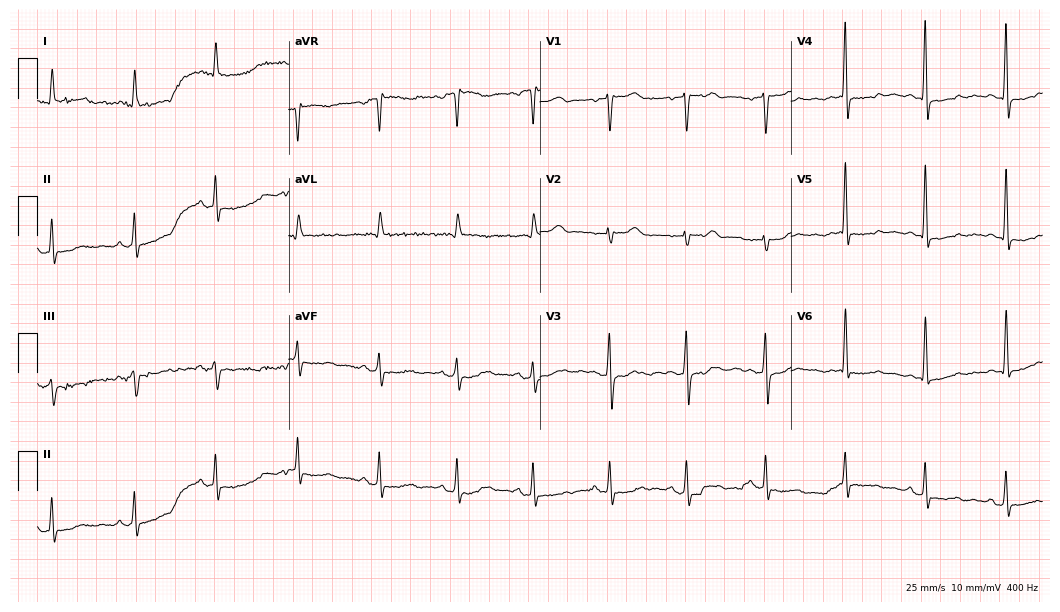
ECG — a 71-year-old woman. Screened for six findings — first-degree AV block, right bundle branch block, left bundle branch block, sinus bradycardia, atrial fibrillation, sinus tachycardia — none is recorded.